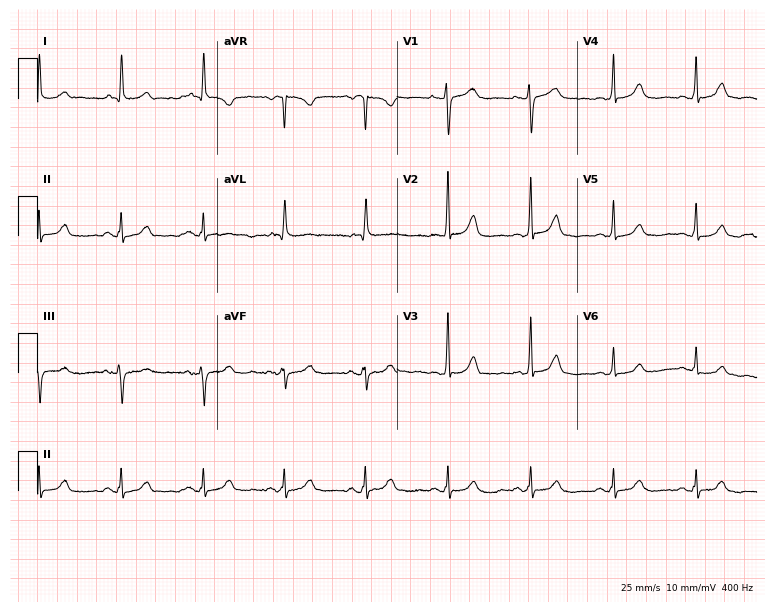
12-lead ECG from a 74-year-old female patient. Screened for six findings — first-degree AV block, right bundle branch block, left bundle branch block, sinus bradycardia, atrial fibrillation, sinus tachycardia — none is recorded.